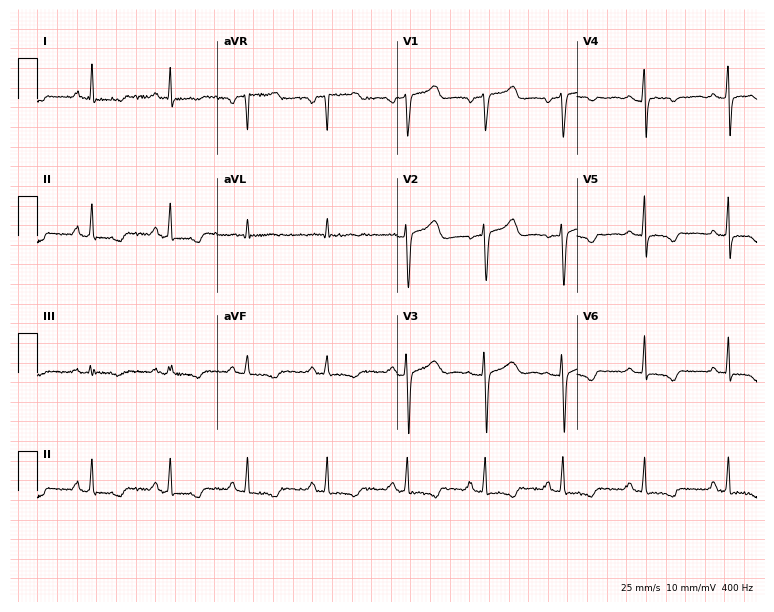
Resting 12-lead electrocardiogram (7.3-second recording at 400 Hz). Patient: a woman, 47 years old. Read as a normal ECG.